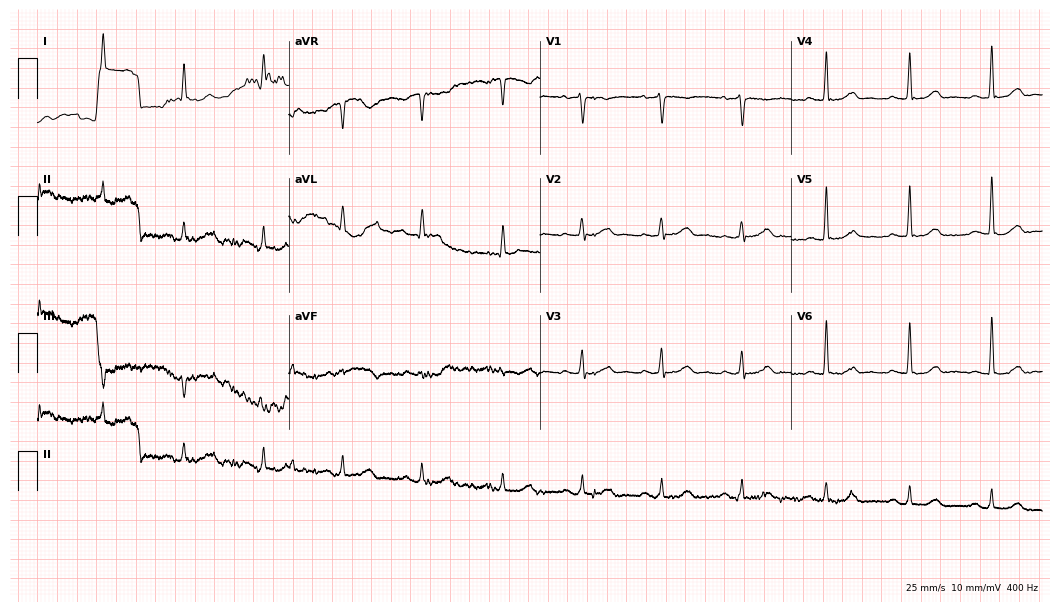
ECG — a male patient, 54 years old. Labelled as a normal ECG.